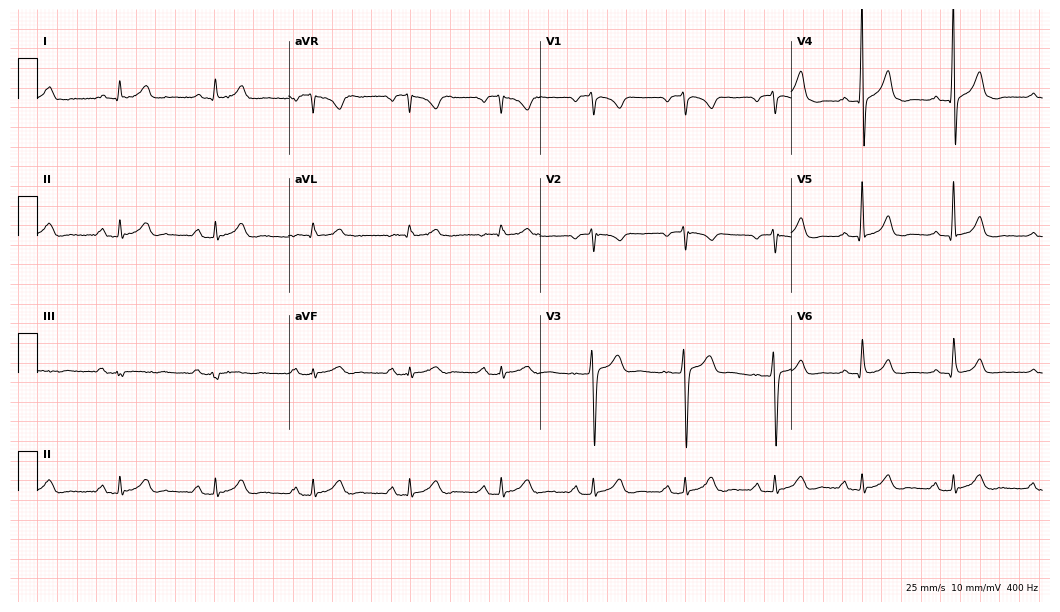
Resting 12-lead electrocardiogram. Patient: a male, 29 years old. None of these six findings is recorded: first-degree AV block, right bundle branch block, left bundle branch block, sinus bradycardia, atrial fibrillation, sinus tachycardia. Only these six findings were labelled.